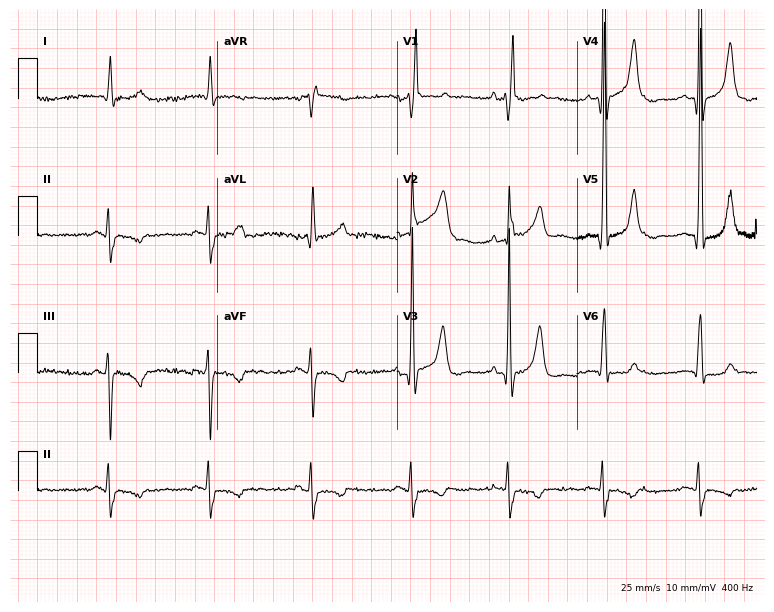
Electrocardiogram (7.3-second recording at 400 Hz), a male, 73 years old. Of the six screened findings (first-degree AV block, right bundle branch block, left bundle branch block, sinus bradycardia, atrial fibrillation, sinus tachycardia), none is recorded.